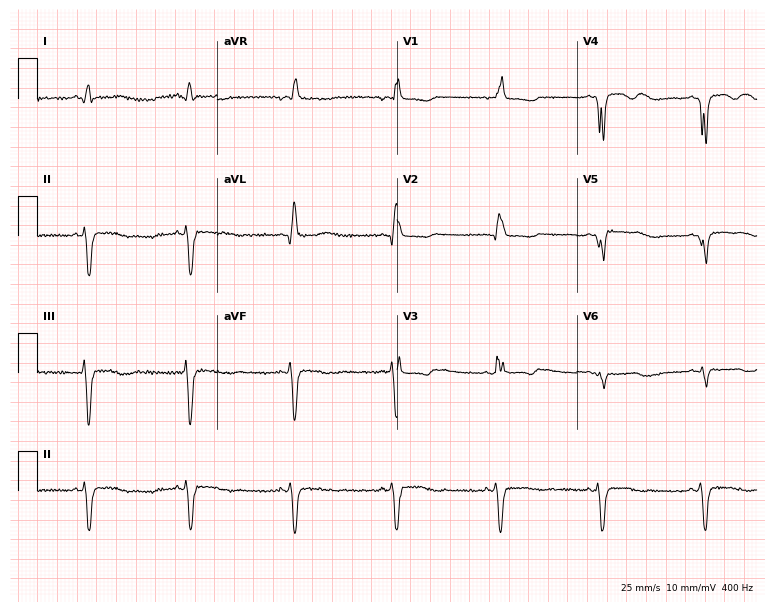
Electrocardiogram, a 43-year-old woman. Interpretation includes right bundle branch block (RBBB).